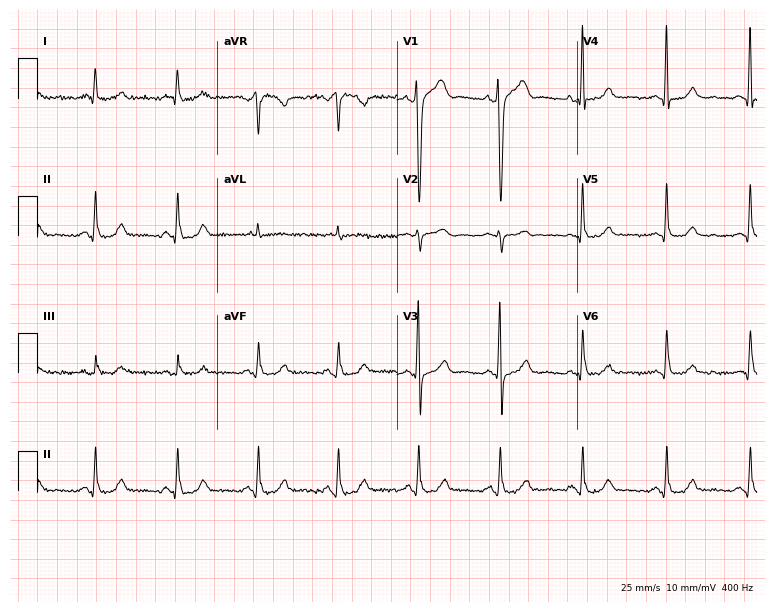
Standard 12-lead ECG recorded from a male patient, 43 years old (7.3-second recording at 400 Hz). Read as a normal ECG.